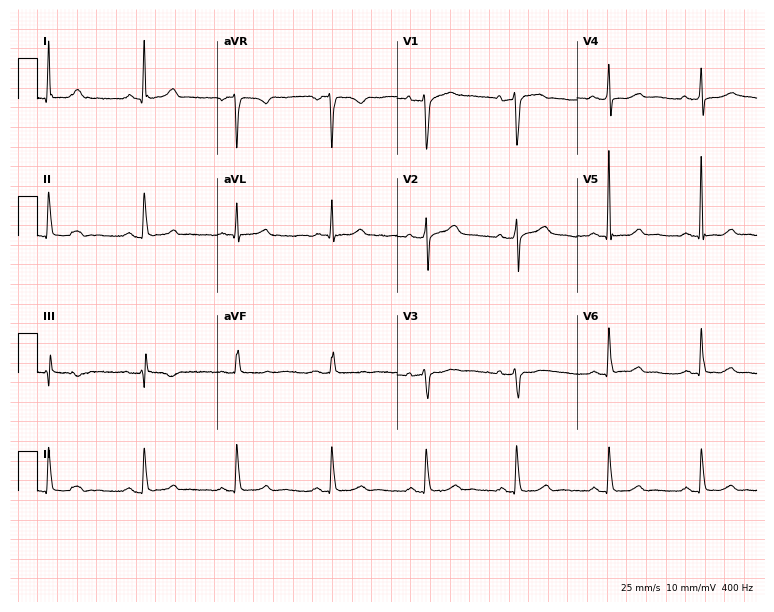
12-lead ECG (7.3-second recording at 400 Hz) from a female, 55 years old. Labelled as a normal ECG.